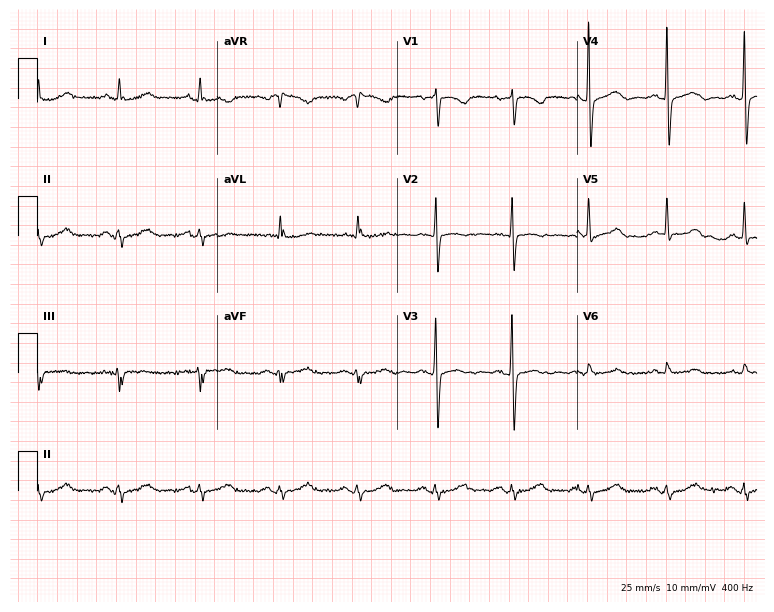
Electrocardiogram (7.3-second recording at 400 Hz), a woman, 75 years old. Of the six screened findings (first-degree AV block, right bundle branch block (RBBB), left bundle branch block (LBBB), sinus bradycardia, atrial fibrillation (AF), sinus tachycardia), none is recorded.